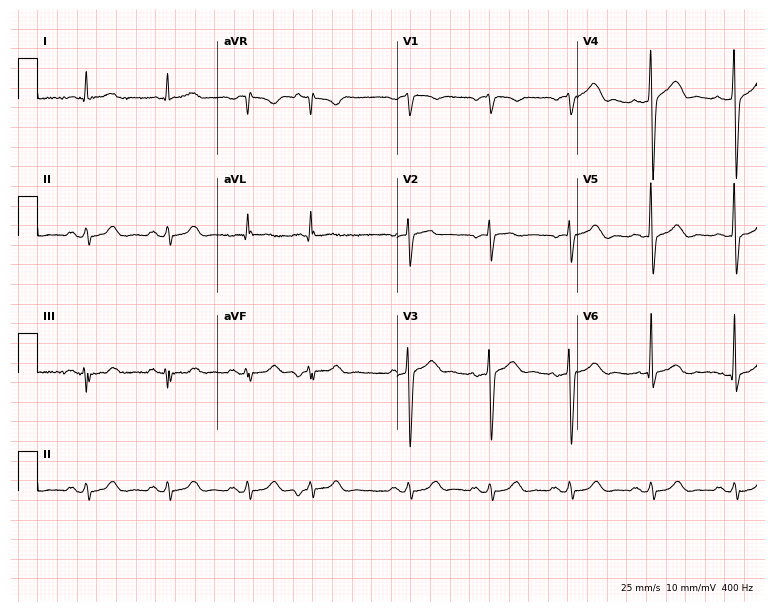
12-lead ECG from a male patient, 72 years old (7.3-second recording at 400 Hz). No first-degree AV block, right bundle branch block (RBBB), left bundle branch block (LBBB), sinus bradycardia, atrial fibrillation (AF) or sinus tachycardia recorded for this tracing. Only these six findings were labelled.